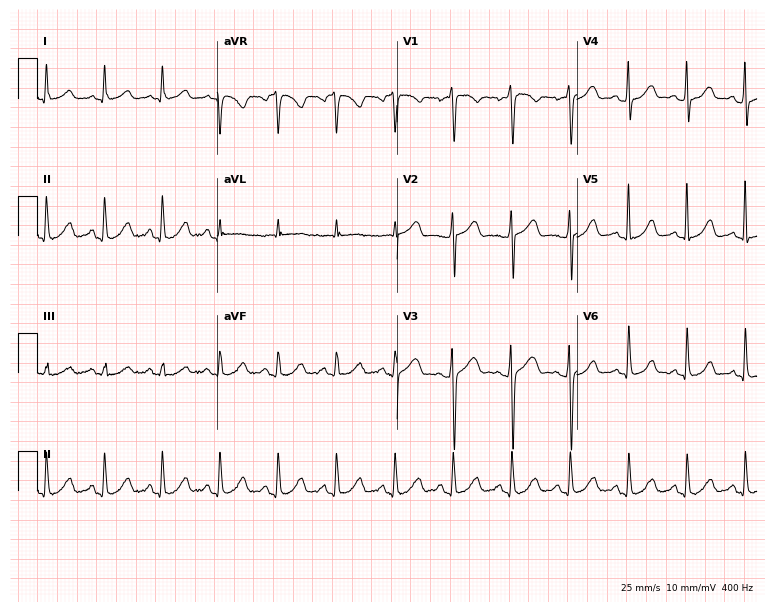
Resting 12-lead electrocardiogram (7.3-second recording at 400 Hz). Patient: a 57-year-old female. The tracing shows sinus tachycardia (a sinus rate of 100 beats per minute or more).